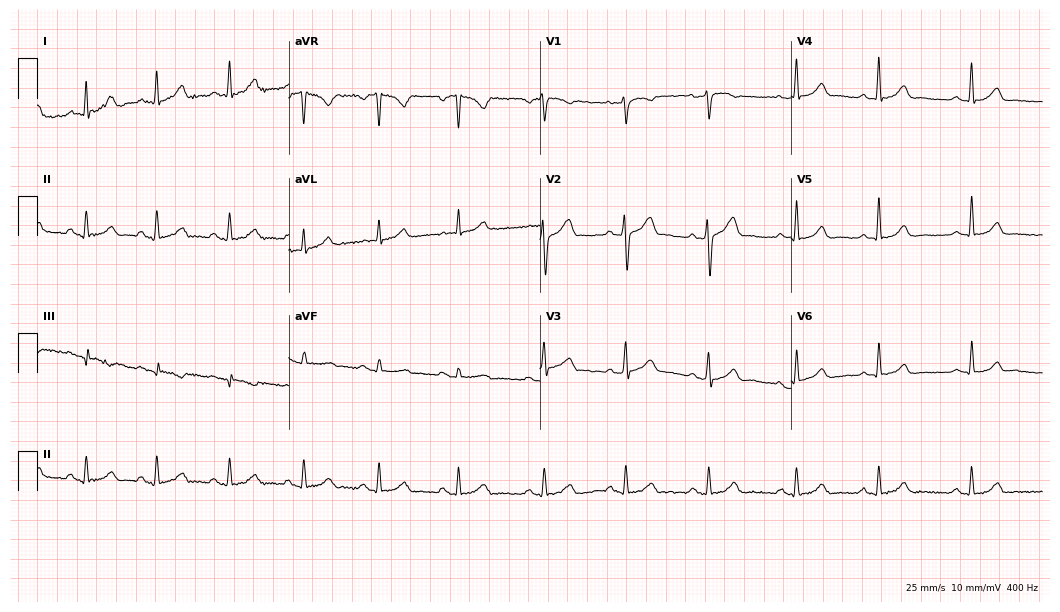
Standard 12-lead ECG recorded from a 43-year-old male. Read as a normal ECG.